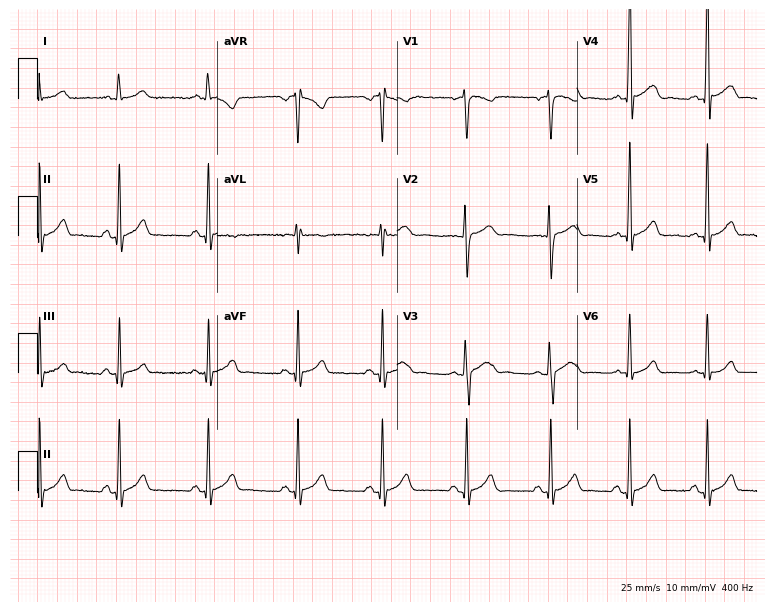
12-lead ECG from a 17-year-old man. Recorded interpretation: within normal limits.